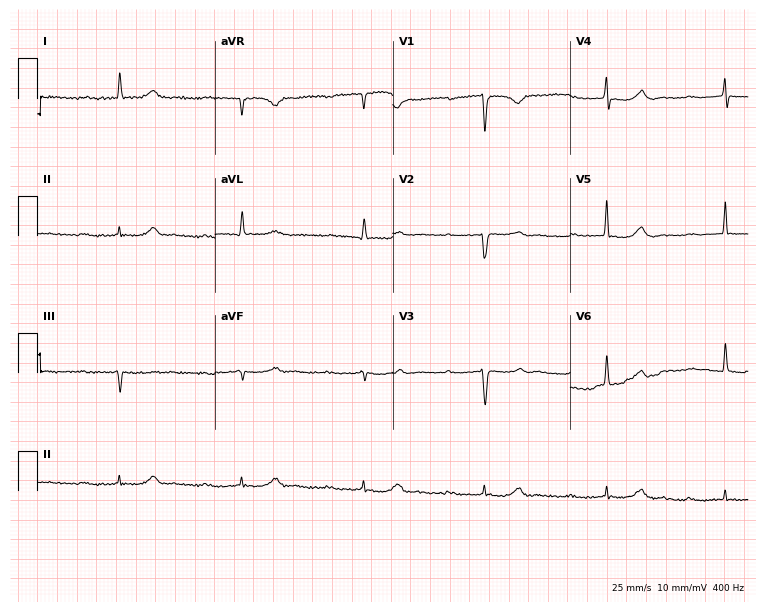
ECG (7.2-second recording at 400 Hz) — an 81-year-old female patient. Findings include first-degree AV block.